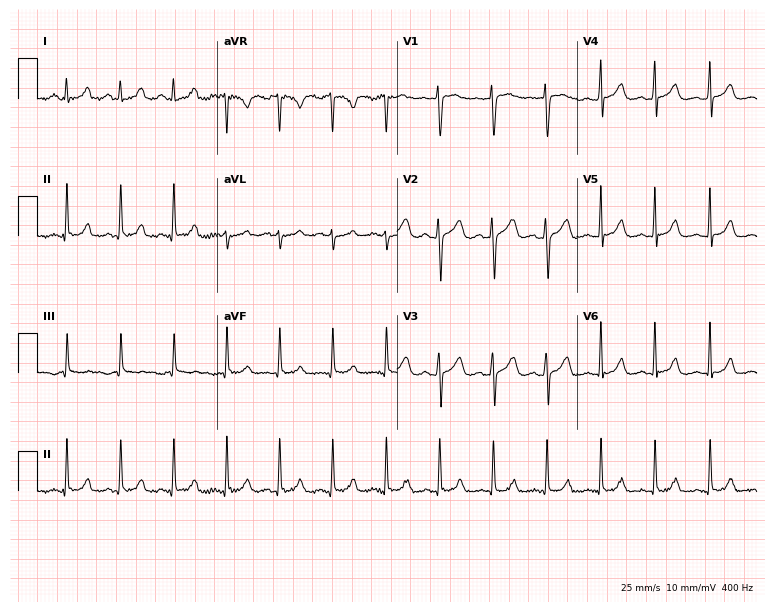
ECG — a woman, 25 years old. Findings include sinus tachycardia (a sinus rate of 100 beats per minute or more).